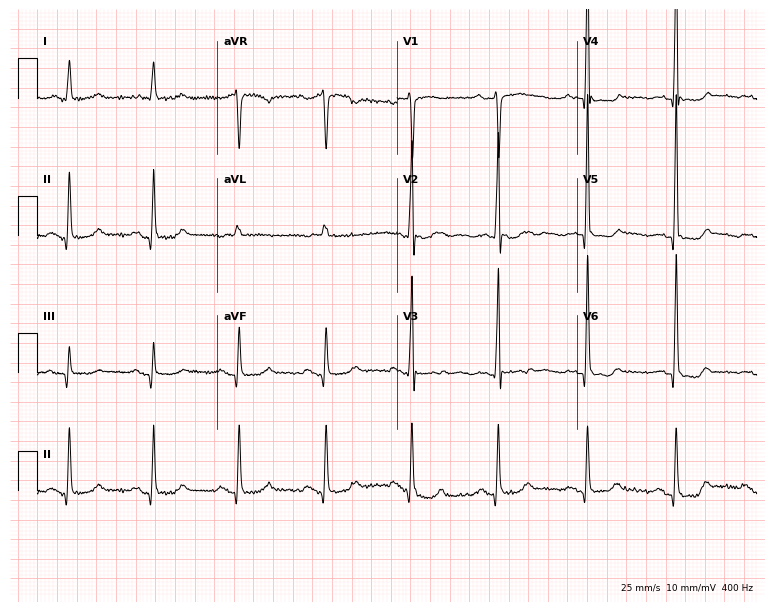
ECG (7.3-second recording at 400 Hz) — a 69-year-old woman. Screened for six findings — first-degree AV block, right bundle branch block, left bundle branch block, sinus bradycardia, atrial fibrillation, sinus tachycardia — none is recorded. Only these six findings were labelled.